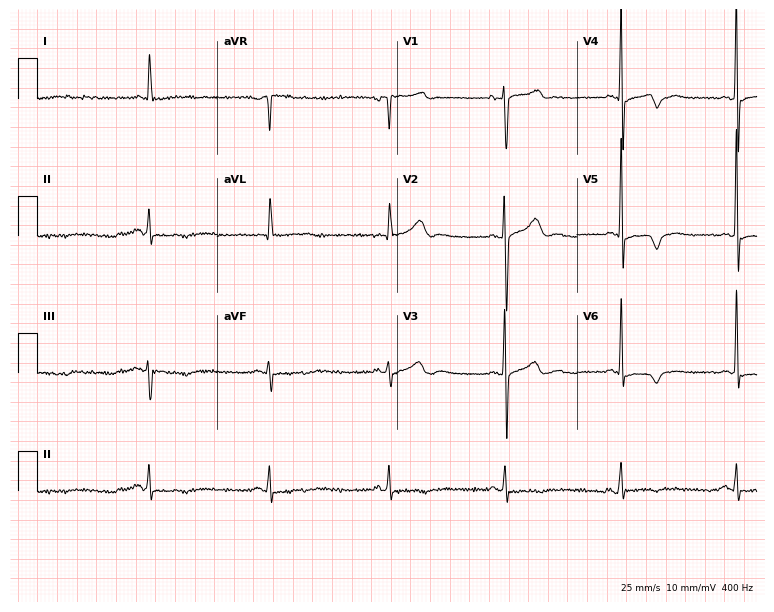
12-lead ECG from a male patient, 64 years old. Screened for six findings — first-degree AV block, right bundle branch block (RBBB), left bundle branch block (LBBB), sinus bradycardia, atrial fibrillation (AF), sinus tachycardia — none is recorded.